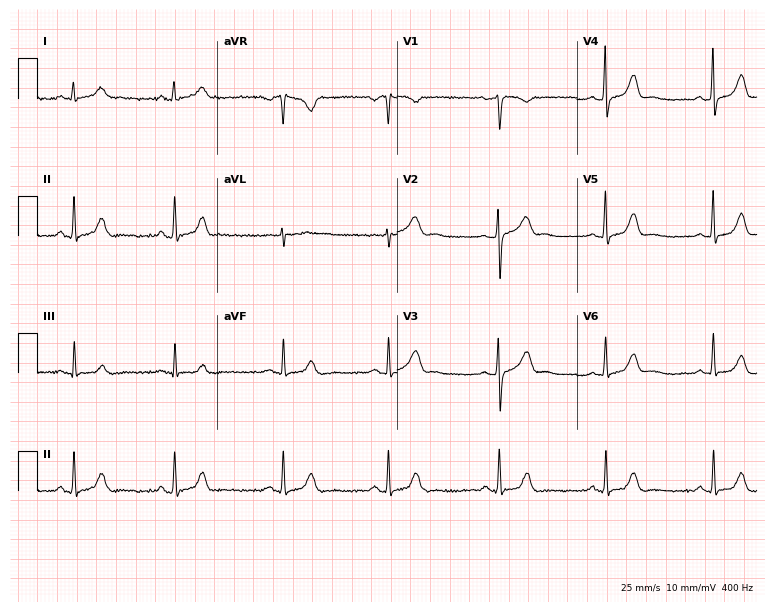
Standard 12-lead ECG recorded from a woman, 44 years old (7.3-second recording at 400 Hz). Read as a normal ECG.